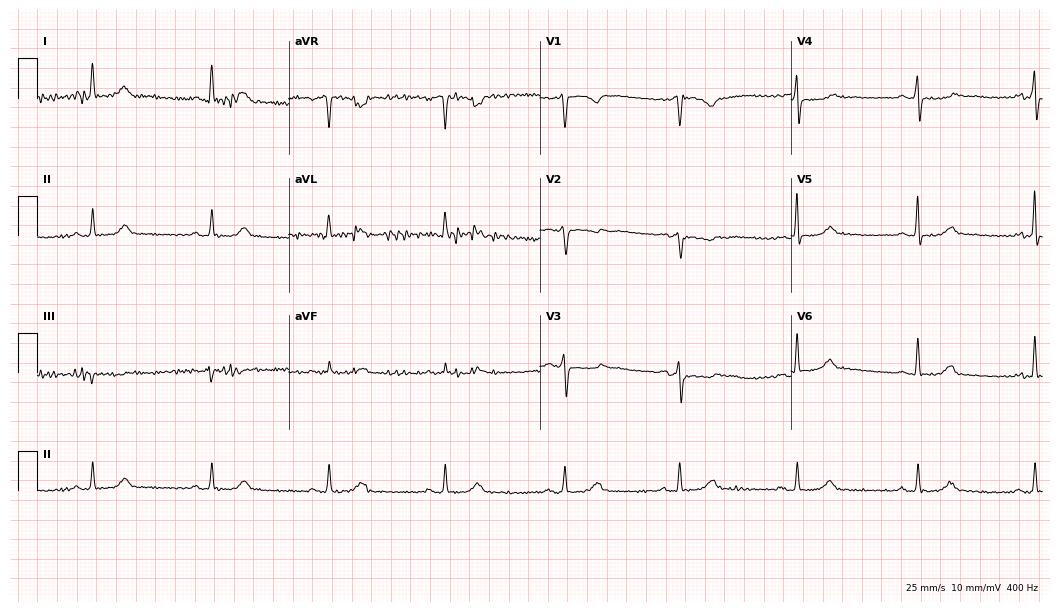
Resting 12-lead electrocardiogram (10.2-second recording at 400 Hz). Patient: a female, 73 years old. Read as a normal ECG.